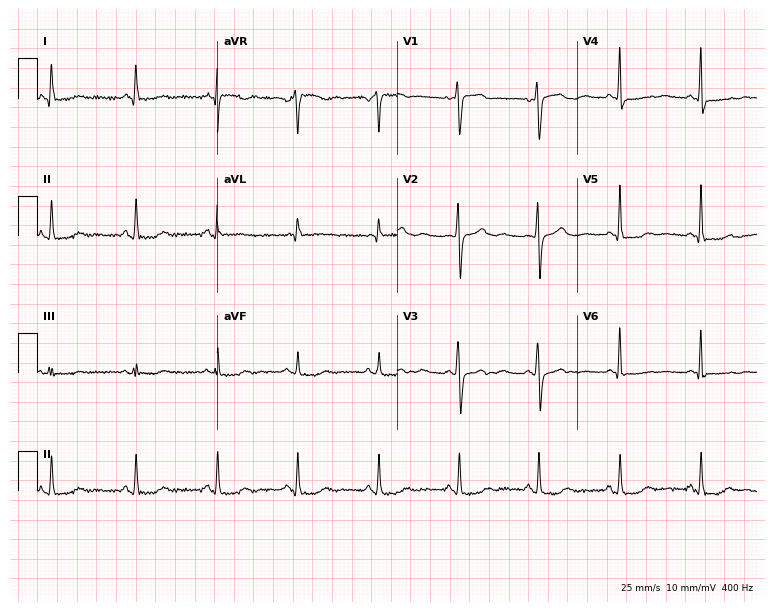
12-lead ECG from a 47-year-old female patient (7.3-second recording at 400 Hz). No first-degree AV block, right bundle branch block (RBBB), left bundle branch block (LBBB), sinus bradycardia, atrial fibrillation (AF) or sinus tachycardia recorded for this tracing.